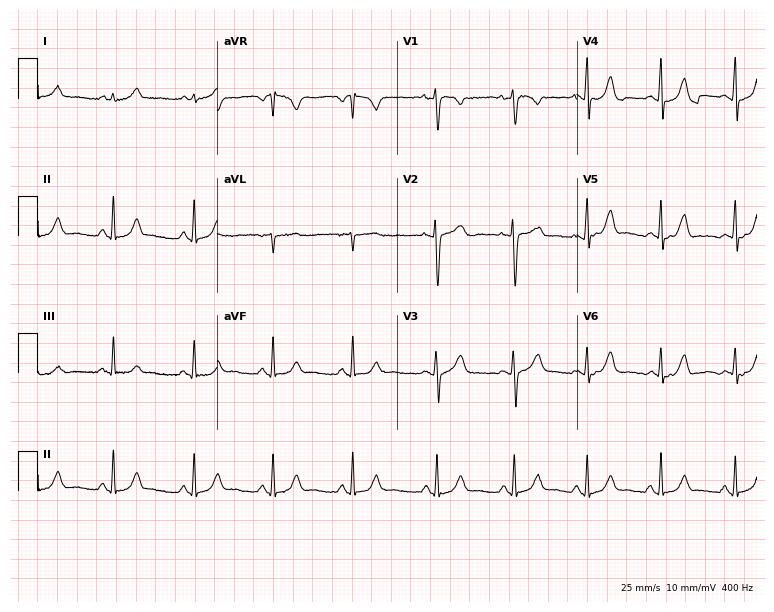
Resting 12-lead electrocardiogram (7.3-second recording at 400 Hz). Patient: a female, 24 years old. Read as a normal ECG.